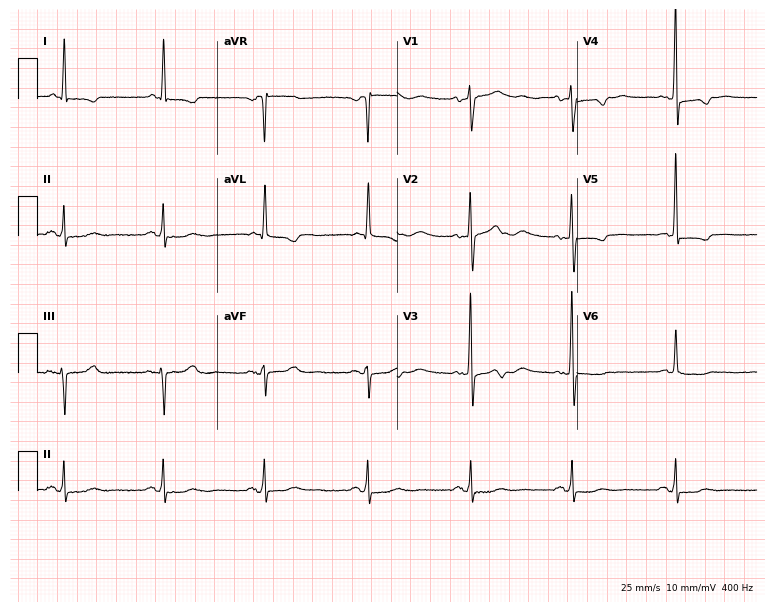
12-lead ECG from a female, 85 years old (7.3-second recording at 400 Hz). No first-degree AV block, right bundle branch block, left bundle branch block, sinus bradycardia, atrial fibrillation or sinus tachycardia recorded for this tracing. Only these six findings were labelled.